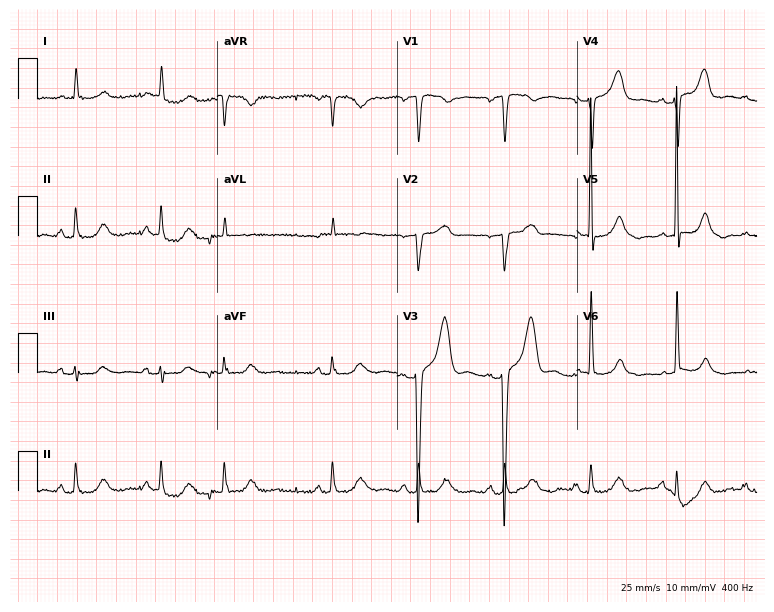
Resting 12-lead electrocardiogram. Patient: an 83-year-old woman. None of these six findings is recorded: first-degree AV block, right bundle branch block, left bundle branch block, sinus bradycardia, atrial fibrillation, sinus tachycardia.